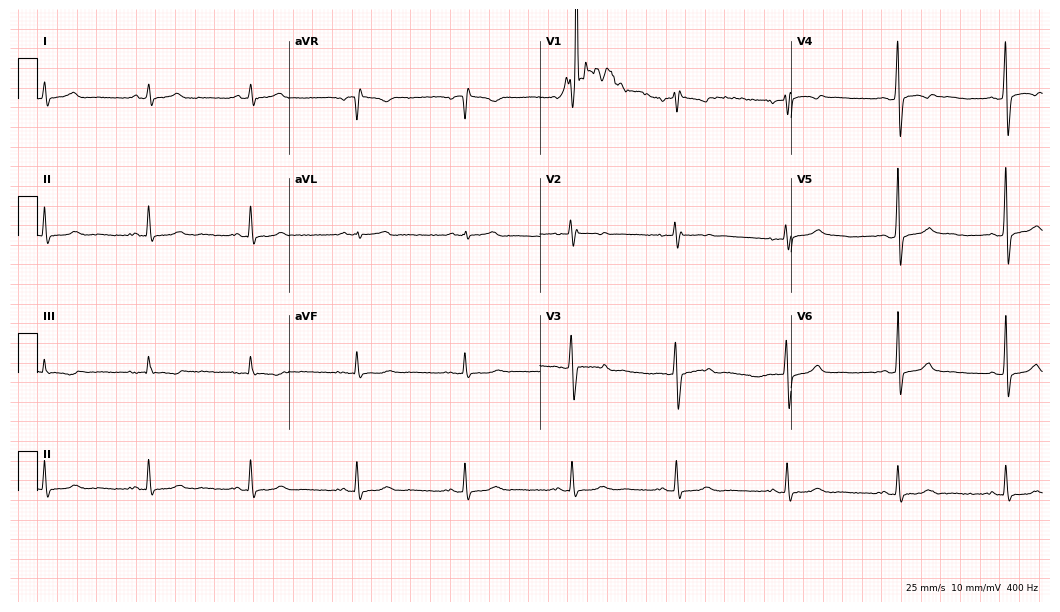
12-lead ECG (10.2-second recording at 400 Hz) from a 37-year-old man. Screened for six findings — first-degree AV block, right bundle branch block, left bundle branch block, sinus bradycardia, atrial fibrillation, sinus tachycardia — none is recorded. Only these six findings were labelled.